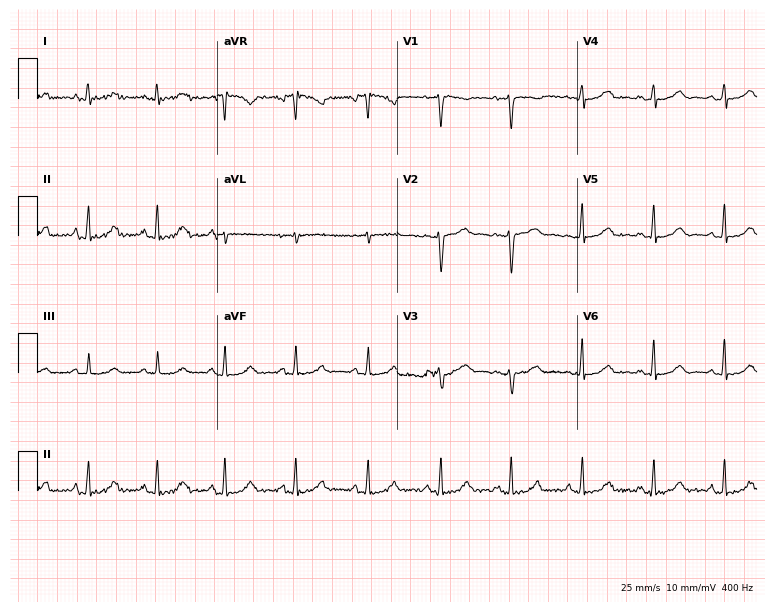
Resting 12-lead electrocardiogram. Patient: a 36-year-old female. None of these six findings is recorded: first-degree AV block, right bundle branch block, left bundle branch block, sinus bradycardia, atrial fibrillation, sinus tachycardia.